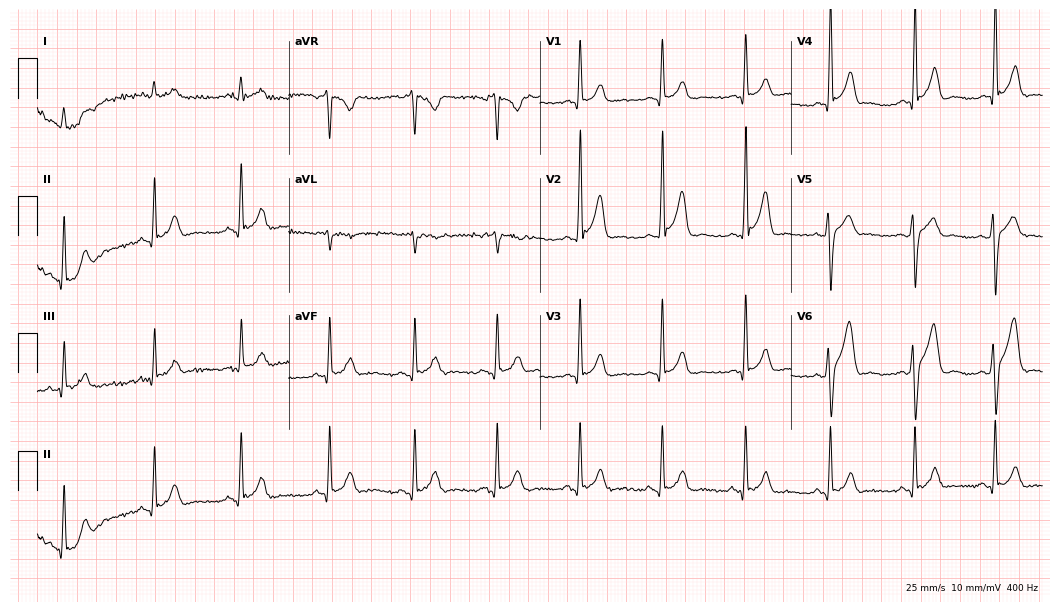
12-lead ECG (10.2-second recording at 400 Hz) from a female, 38 years old. Screened for six findings — first-degree AV block, right bundle branch block, left bundle branch block, sinus bradycardia, atrial fibrillation, sinus tachycardia — none is recorded. Other findings, if any, are not listed.